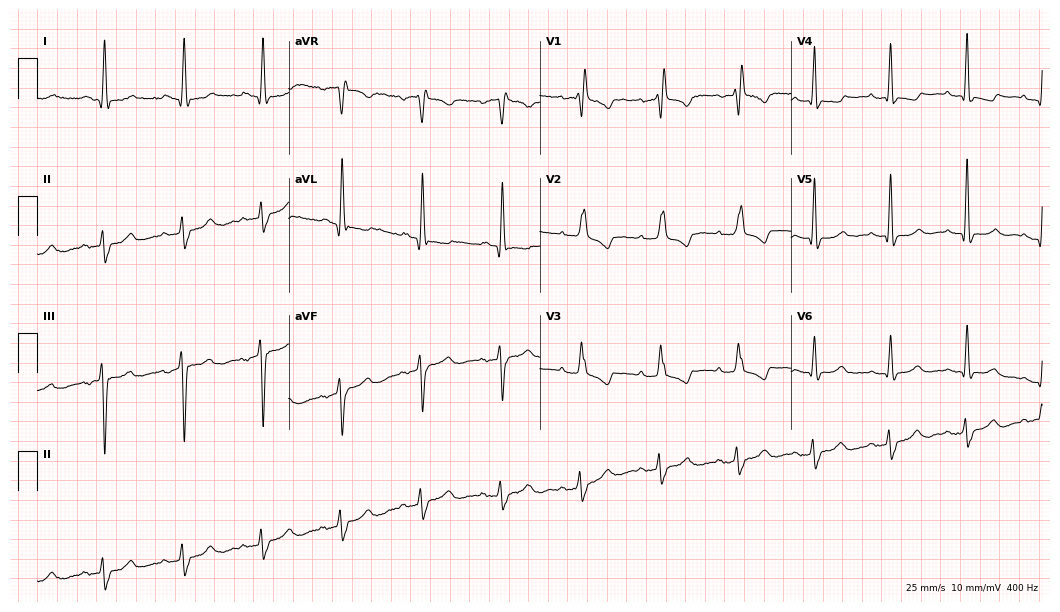
Standard 12-lead ECG recorded from a 78-year-old woman. The tracing shows right bundle branch block (RBBB).